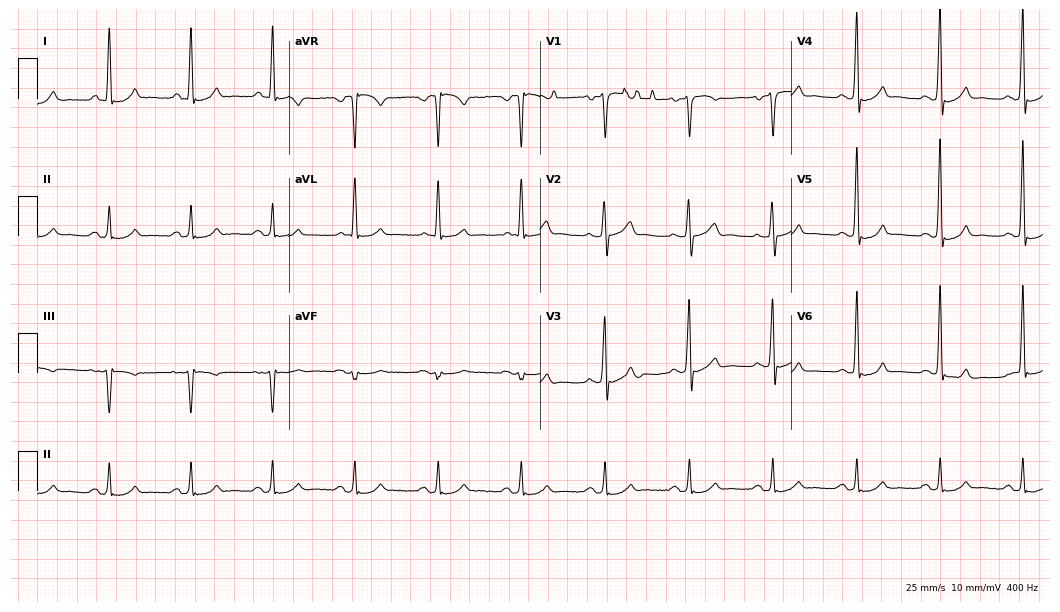
ECG (10.2-second recording at 400 Hz) — a man, 55 years old. Labelled as a normal ECG.